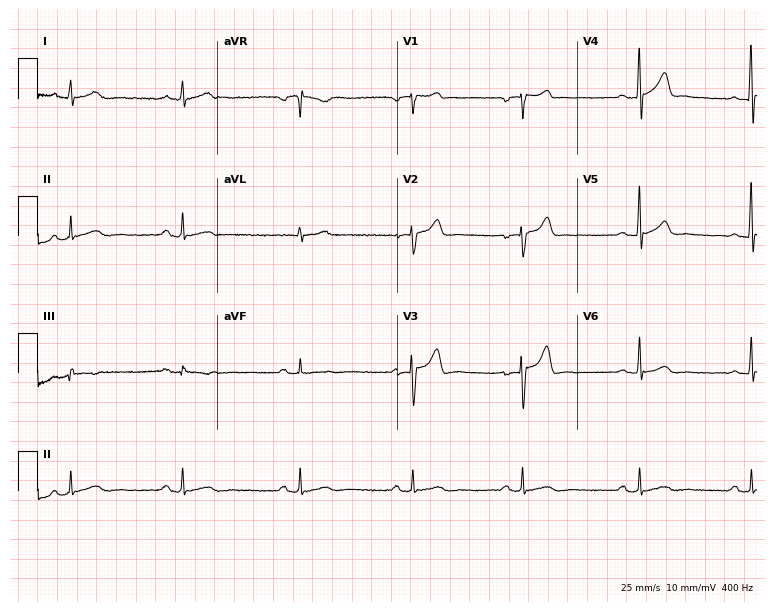
12-lead ECG from a 45-year-old male patient (7.3-second recording at 400 Hz). No first-degree AV block, right bundle branch block, left bundle branch block, sinus bradycardia, atrial fibrillation or sinus tachycardia recorded for this tracing.